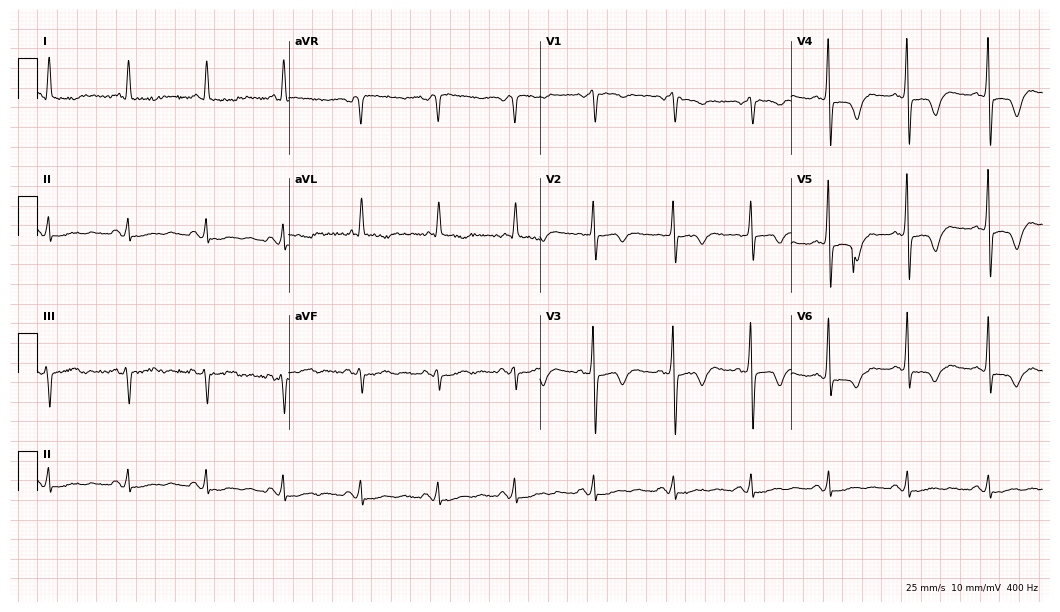
ECG (10.2-second recording at 400 Hz) — a 63-year-old man. Screened for six findings — first-degree AV block, right bundle branch block, left bundle branch block, sinus bradycardia, atrial fibrillation, sinus tachycardia — none is recorded.